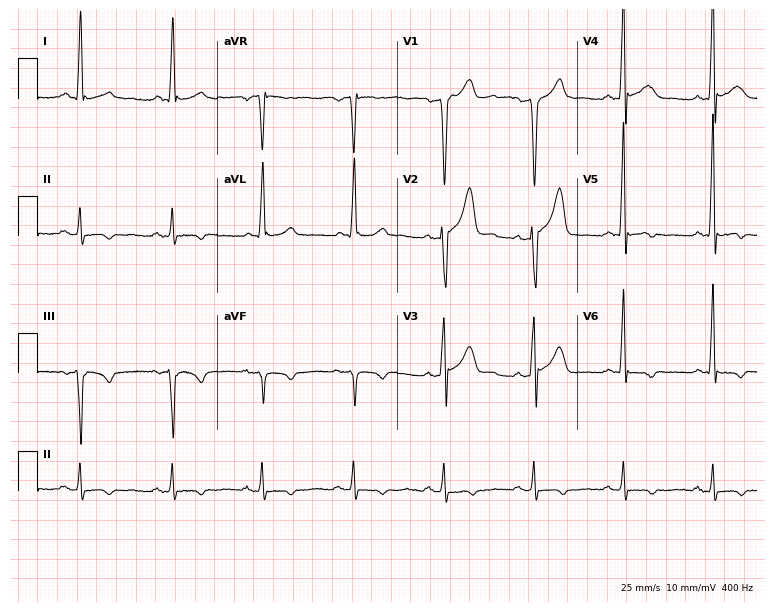
Electrocardiogram, a 54-year-old man. Of the six screened findings (first-degree AV block, right bundle branch block, left bundle branch block, sinus bradycardia, atrial fibrillation, sinus tachycardia), none is recorded. Only these six findings were labelled.